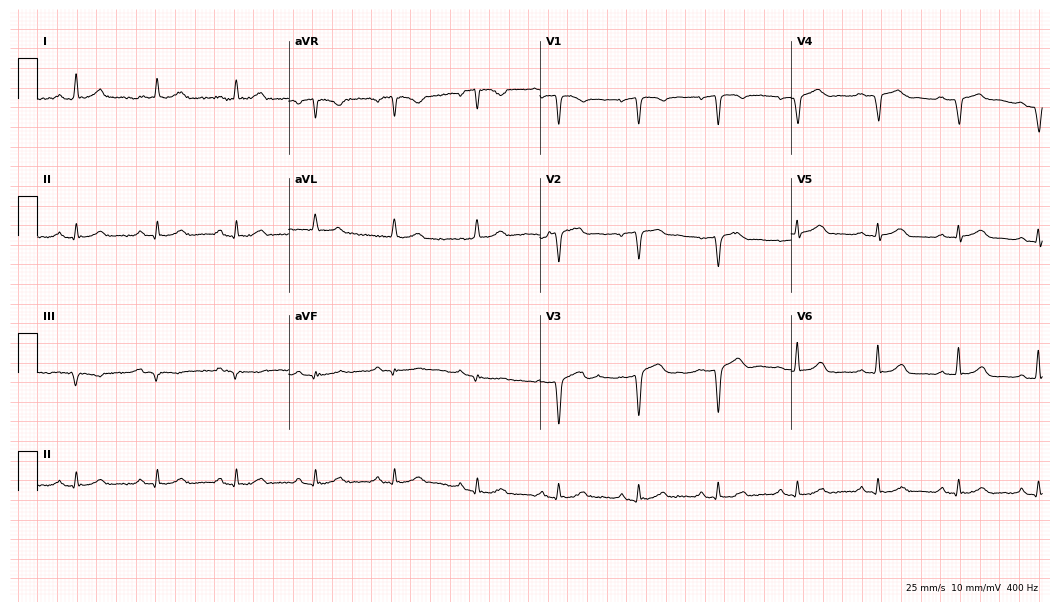
Standard 12-lead ECG recorded from a 54-year-old man (10.2-second recording at 400 Hz). None of these six findings is recorded: first-degree AV block, right bundle branch block, left bundle branch block, sinus bradycardia, atrial fibrillation, sinus tachycardia.